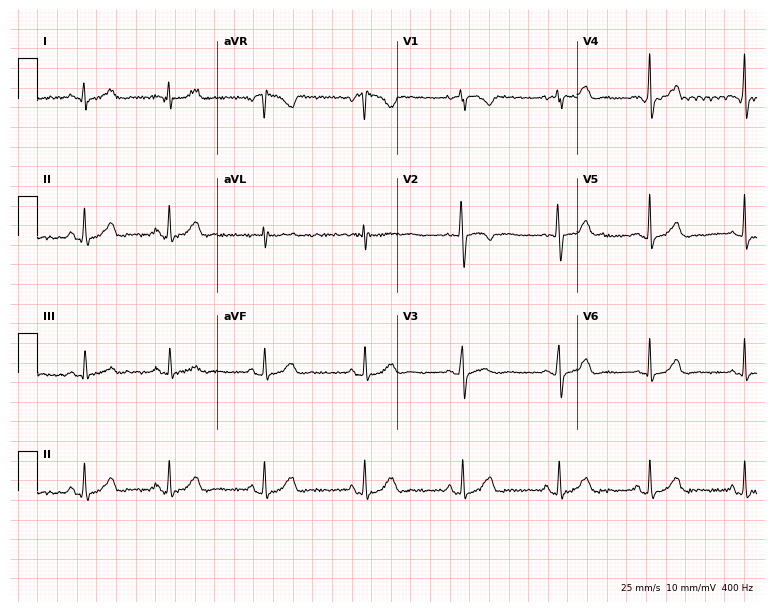
12-lead ECG from a woman, 30 years old (7.3-second recording at 400 Hz). Recorded interpretation: within normal limits.